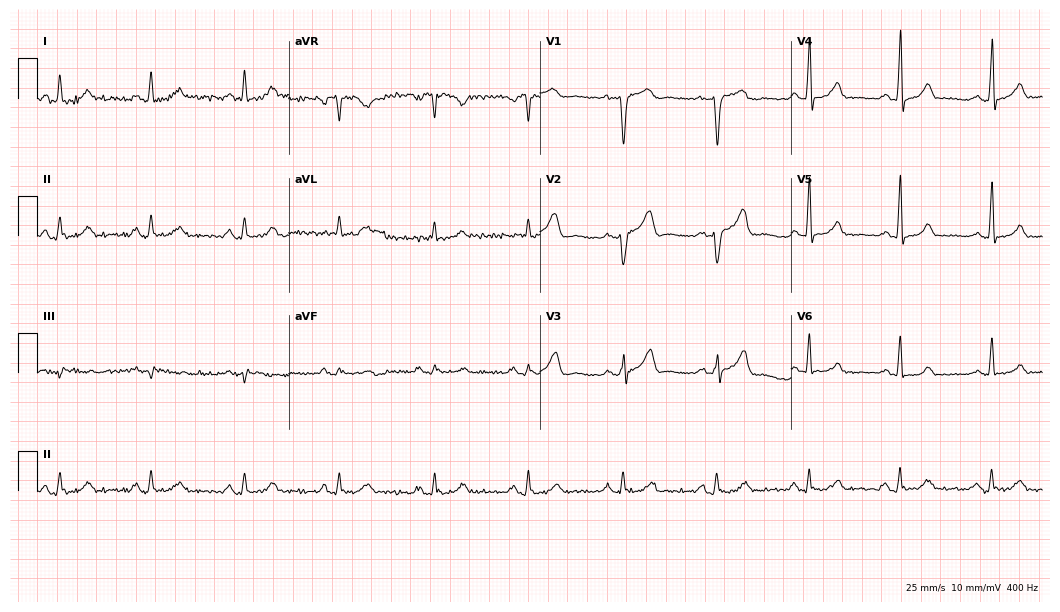
Standard 12-lead ECG recorded from a 57-year-old female. None of these six findings is recorded: first-degree AV block, right bundle branch block (RBBB), left bundle branch block (LBBB), sinus bradycardia, atrial fibrillation (AF), sinus tachycardia.